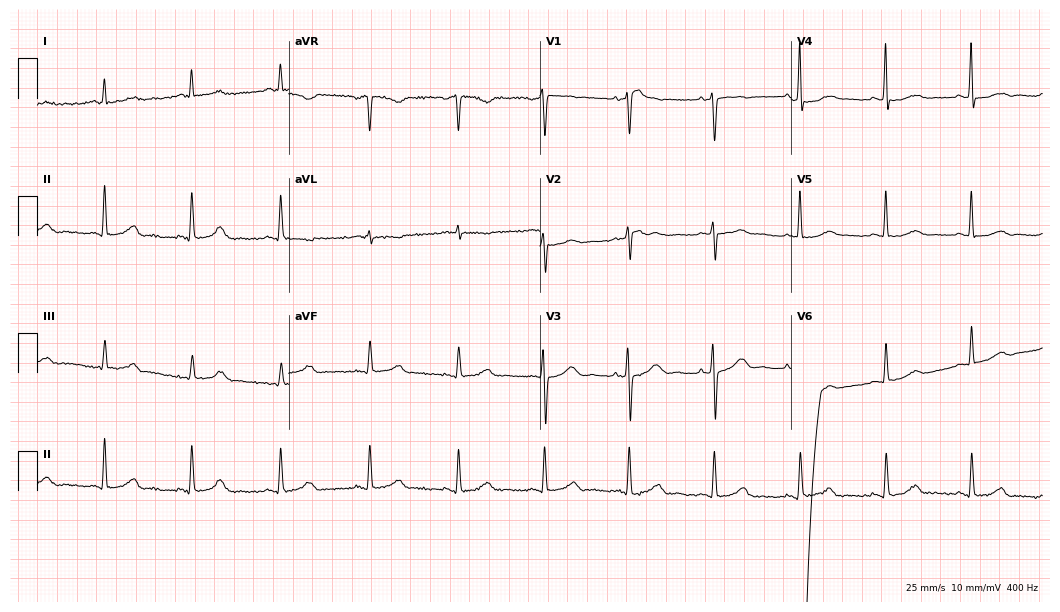
Resting 12-lead electrocardiogram (10.2-second recording at 400 Hz). Patient: a woman, 72 years old. Read as a normal ECG.